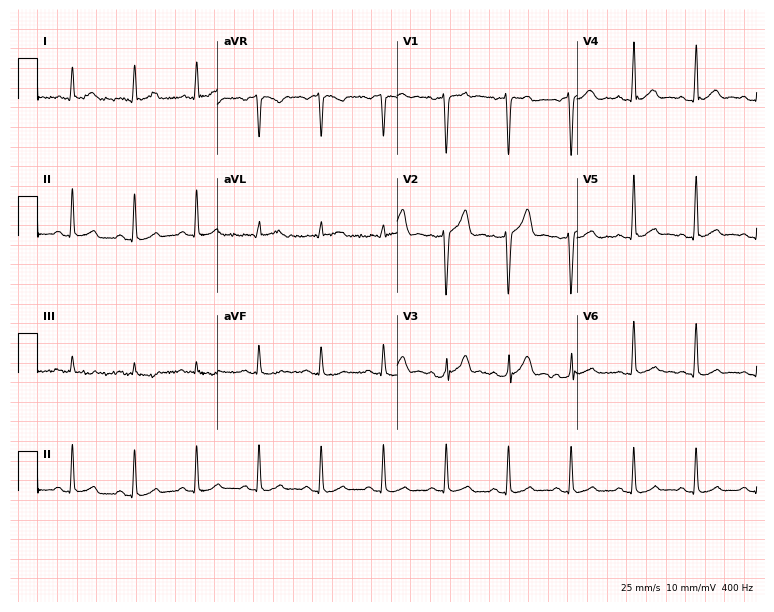
Electrocardiogram, a 63-year-old man. Overall reading on record: normal ECG.